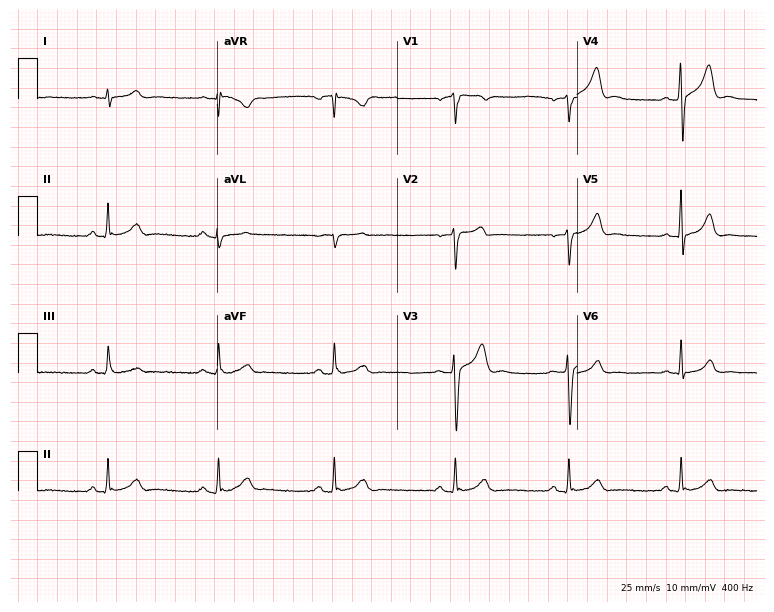
Resting 12-lead electrocardiogram. Patient: a 29-year-old male. Read as a normal ECG.